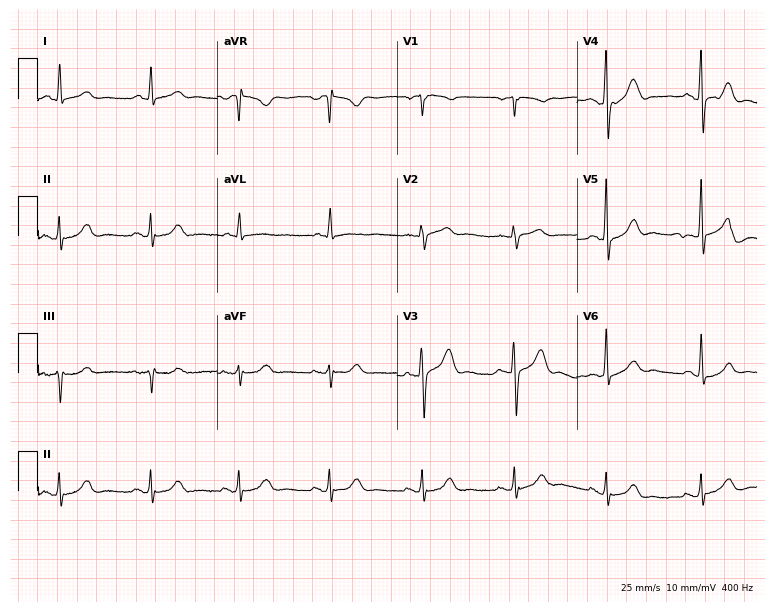
ECG — a male patient, 71 years old. Labelled as a normal ECG.